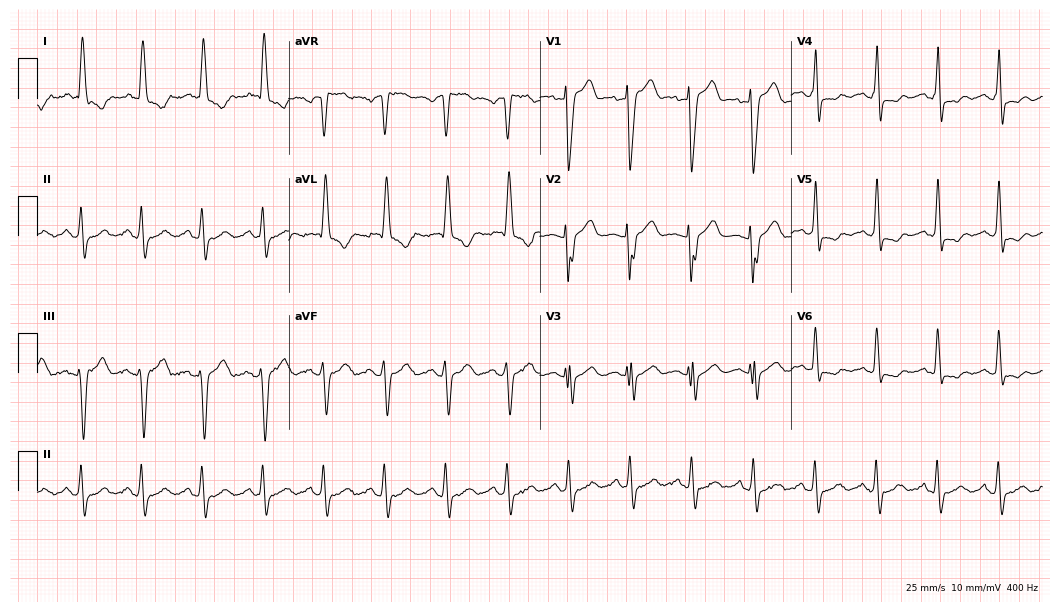
ECG — a 71-year-old female. Findings include right bundle branch block.